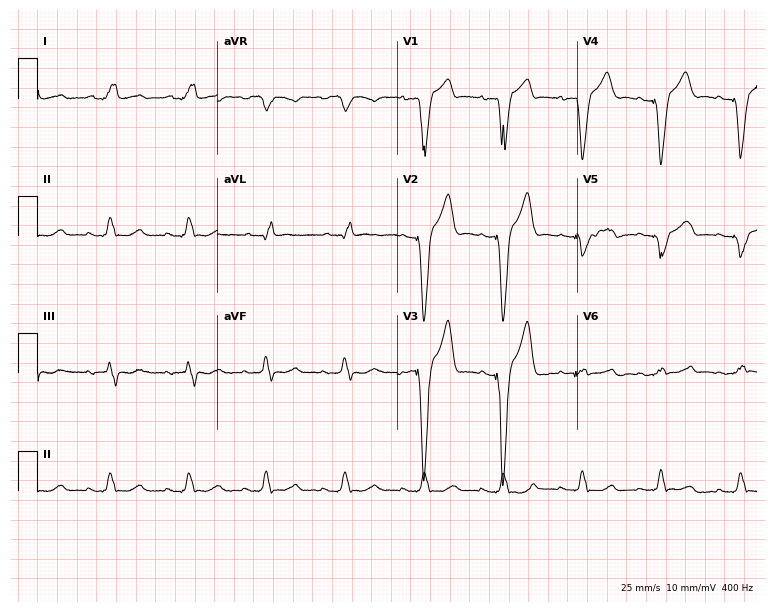
ECG (7.3-second recording at 400 Hz) — a 45-year-old female patient. Screened for six findings — first-degree AV block, right bundle branch block (RBBB), left bundle branch block (LBBB), sinus bradycardia, atrial fibrillation (AF), sinus tachycardia — none is recorded. Findings outside these six are not listed.